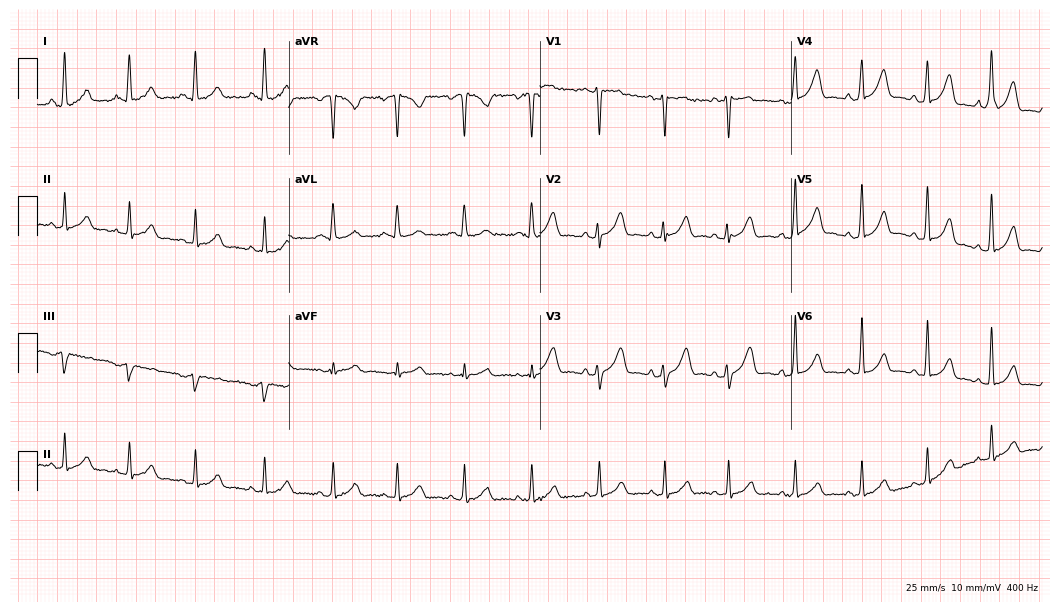
12-lead ECG from a female, 27 years old. Labelled as a normal ECG.